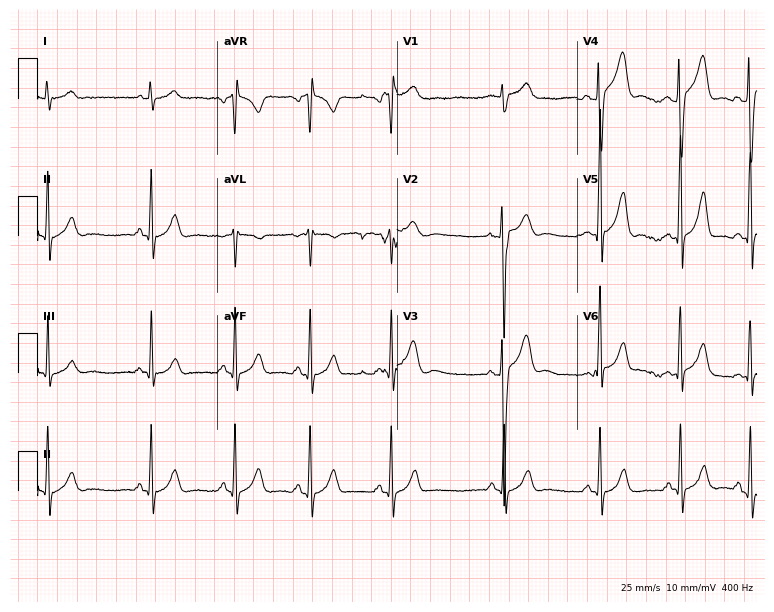
ECG (7.3-second recording at 400 Hz) — a man, 23 years old. Labelled as a normal ECG.